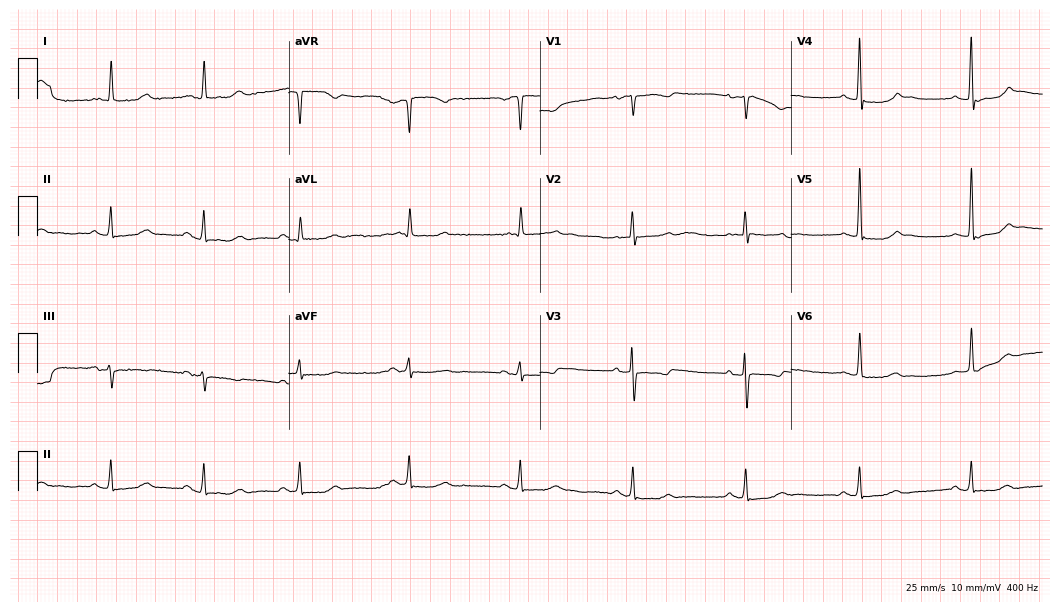
Electrocardiogram, an 83-year-old woman. Of the six screened findings (first-degree AV block, right bundle branch block, left bundle branch block, sinus bradycardia, atrial fibrillation, sinus tachycardia), none is recorded.